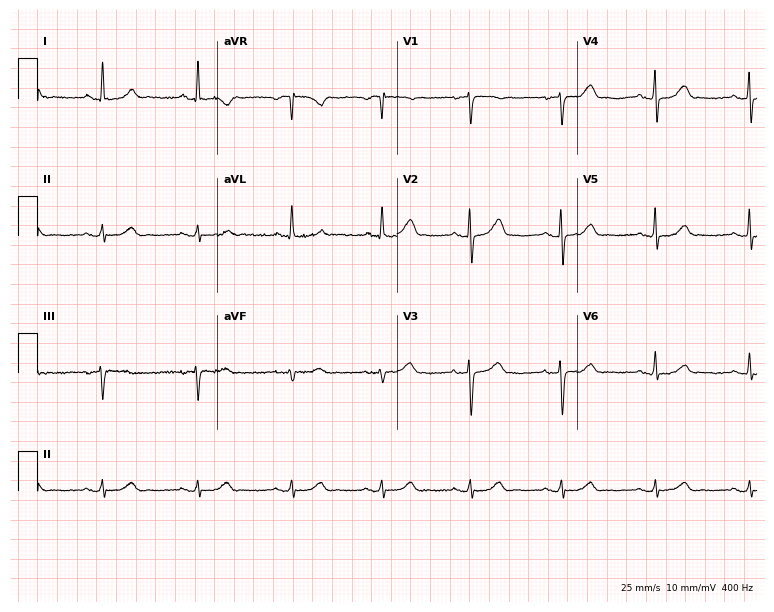
12-lead ECG from a woman, 49 years old. Labelled as a normal ECG.